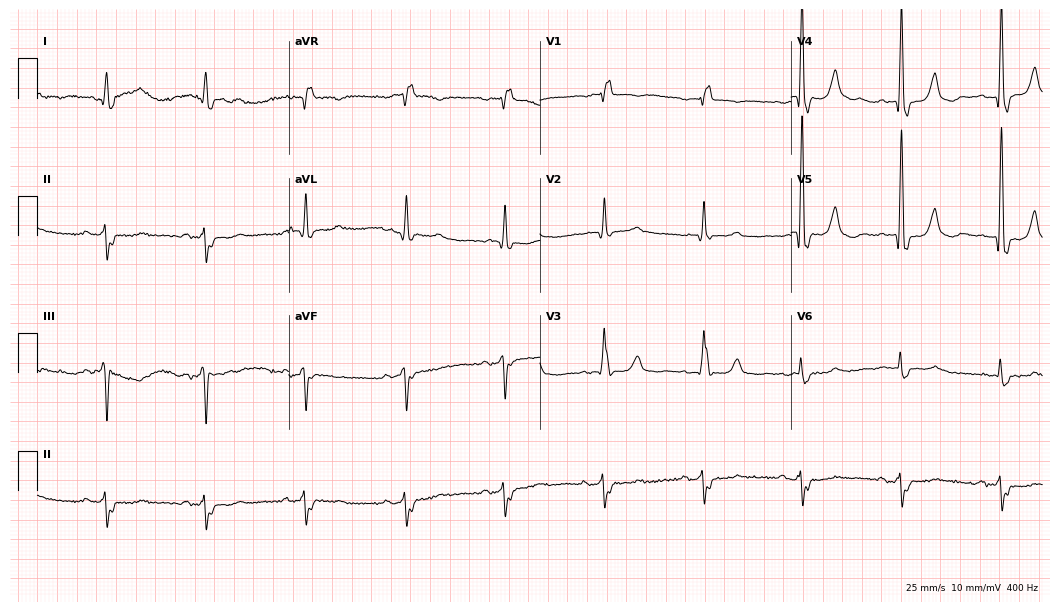
ECG — an 85-year-old male. Findings include right bundle branch block (RBBB).